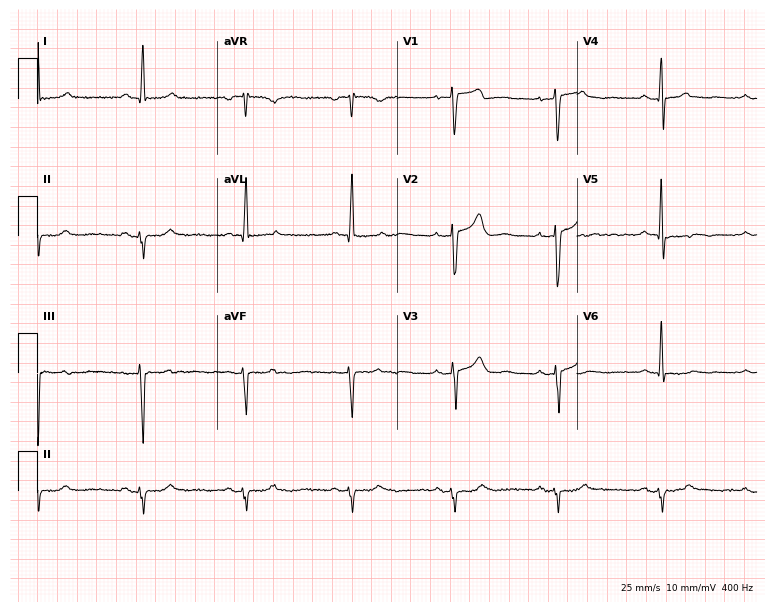
12-lead ECG from a male patient, 57 years old. Screened for six findings — first-degree AV block, right bundle branch block, left bundle branch block, sinus bradycardia, atrial fibrillation, sinus tachycardia — none is recorded.